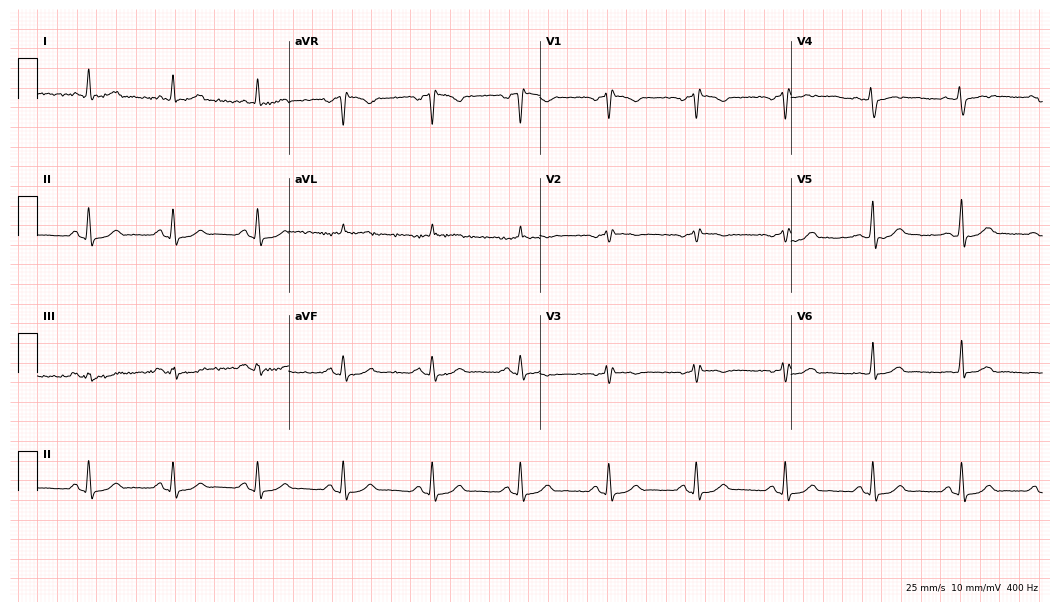
ECG (10.2-second recording at 400 Hz) — a female, 43 years old. Screened for six findings — first-degree AV block, right bundle branch block, left bundle branch block, sinus bradycardia, atrial fibrillation, sinus tachycardia — none is recorded.